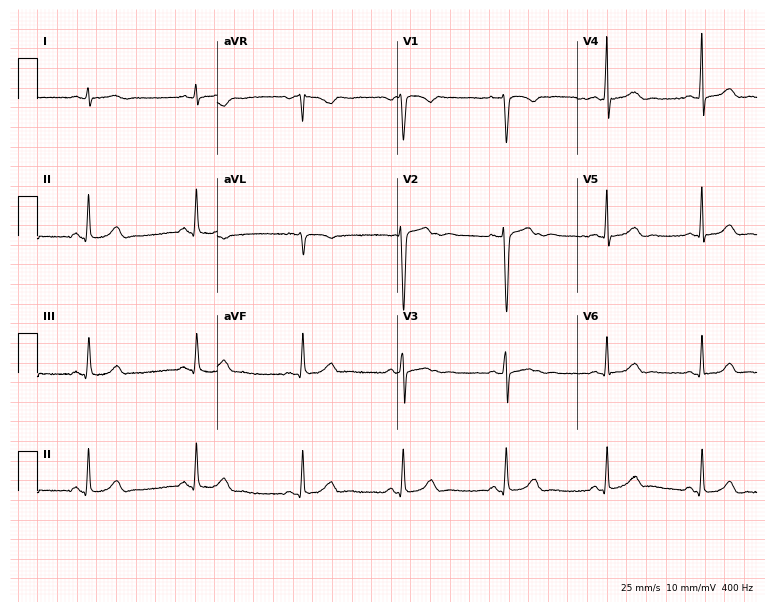
12-lead ECG from a 32-year-old woman. Recorded interpretation: within normal limits.